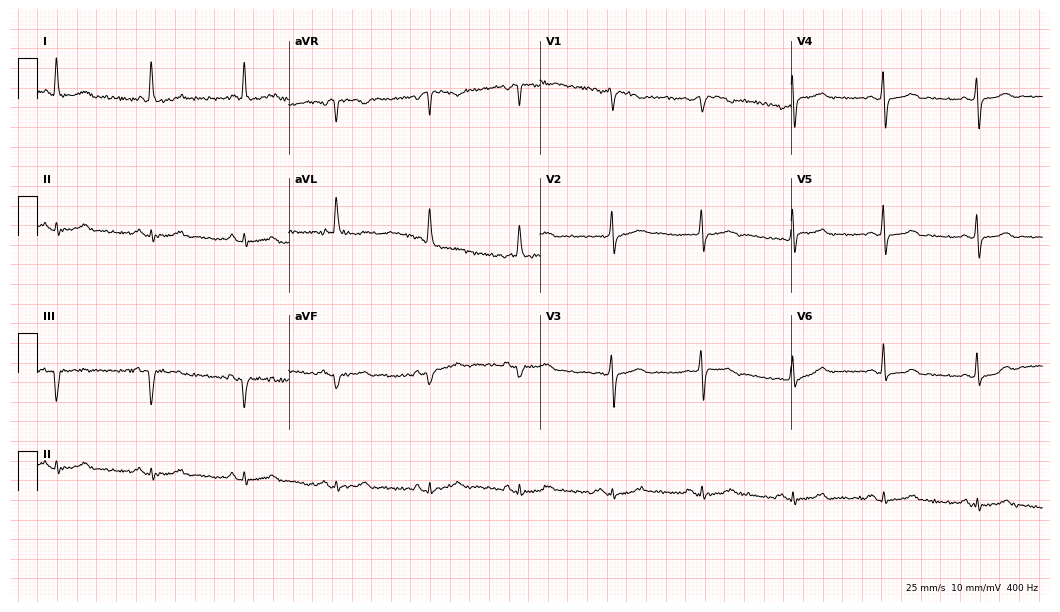
Resting 12-lead electrocardiogram. Patient: a woman, 76 years old. Read as a normal ECG.